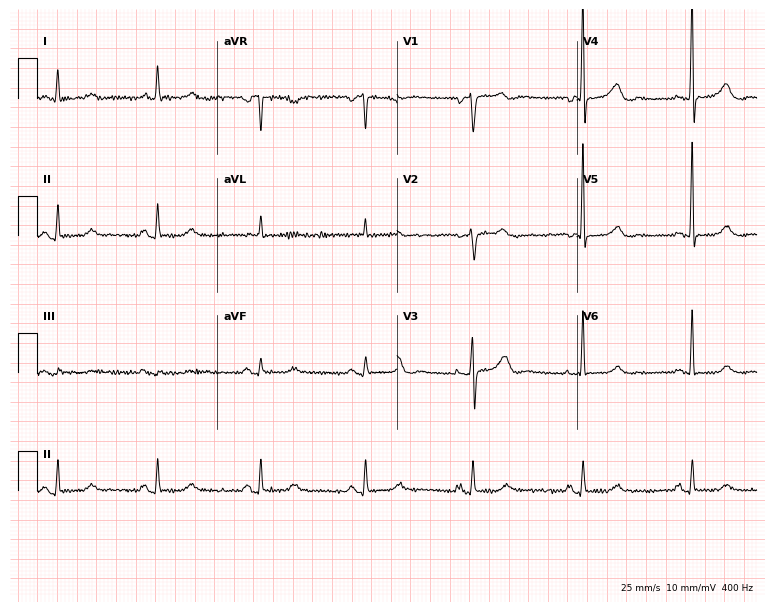
Standard 12-lead ECG recorded from a 61-year-old female (7.3-second recording at 400 Hz). None of these six findings is recorded: first-degree AV block, right bundle branch block (RBBB), left bundle branch block (LBBB), sinus bradycardia, atrial fibrillation (AF), sinus tachycardia. Findings outside these six are not listed.